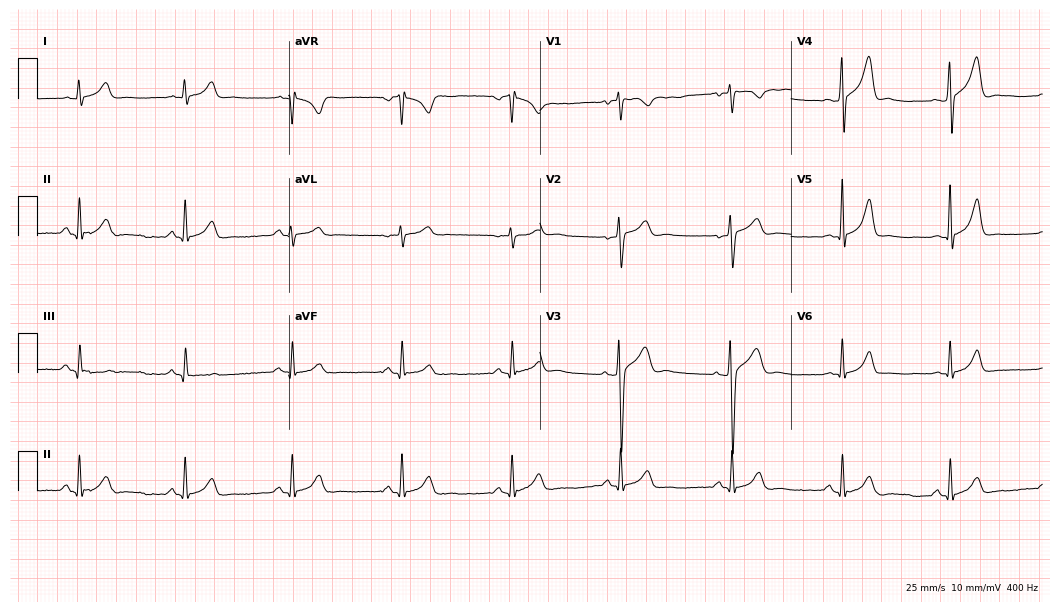
12-lead ECG from a 33-year-old man. Labelled as a normal ECG.